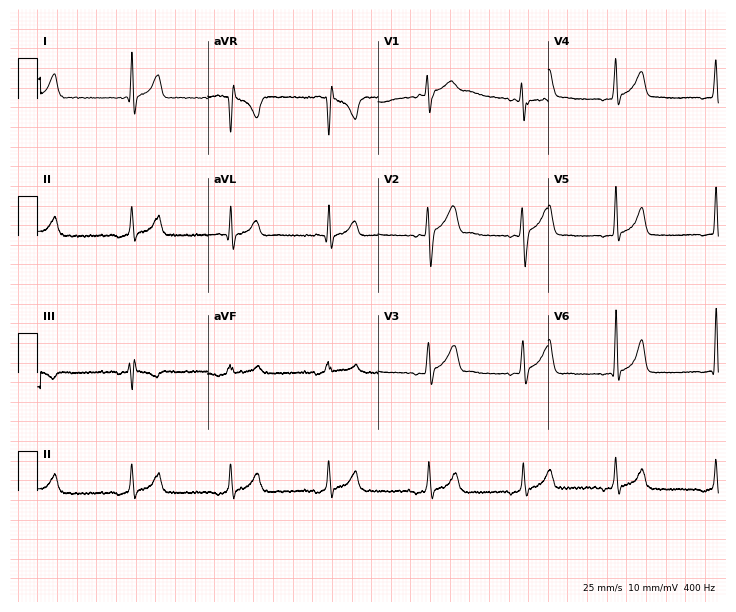
12-lead ECG from a male patient, 17 years old. Screened for six findings — first-degree AV block, right bundle branch block, left bundle branch block, sinus bradycardia, atrial fibrillation, sinus tachycardia — none is recorded.